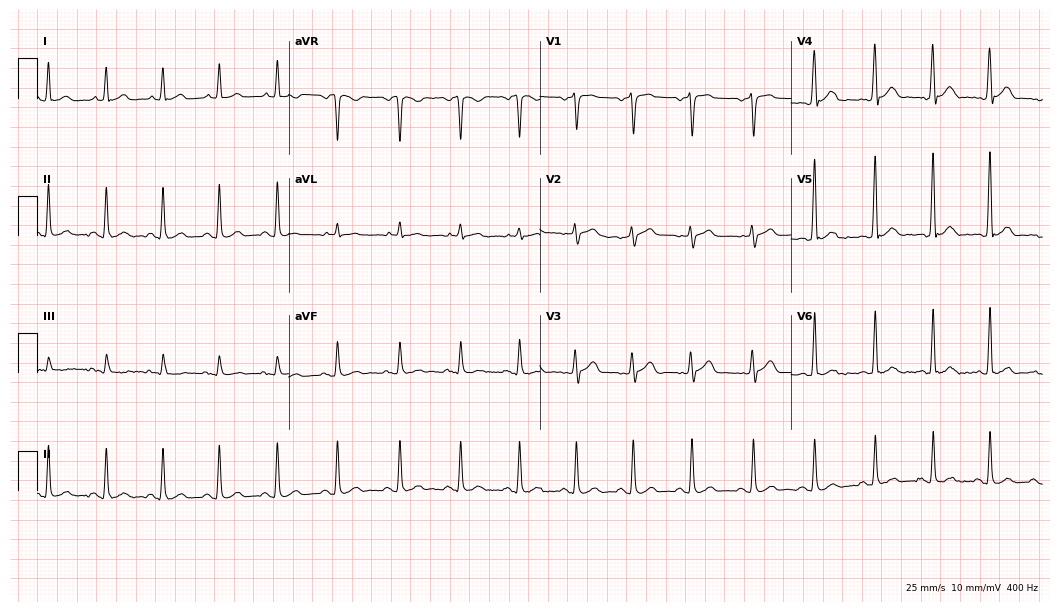
Resting 12-lead electrocardiogram (10.2-second recording at 400 Hz). Patient: a 38-year-old male. Read as a normal ECG.